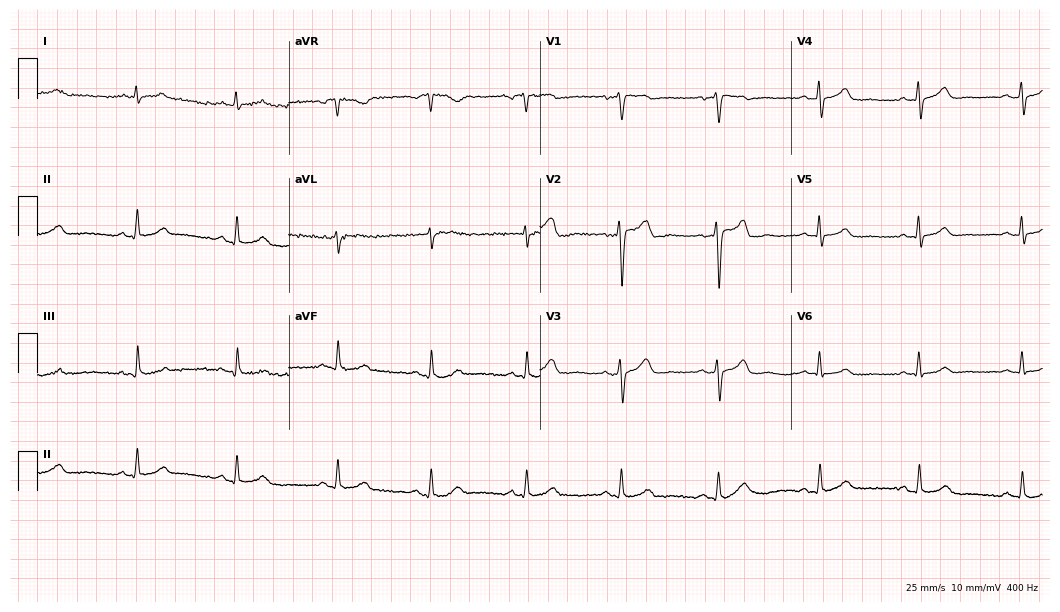
Standard 12-lead ECG recorded from a woman, 44 years old. Read as a normal ECG.